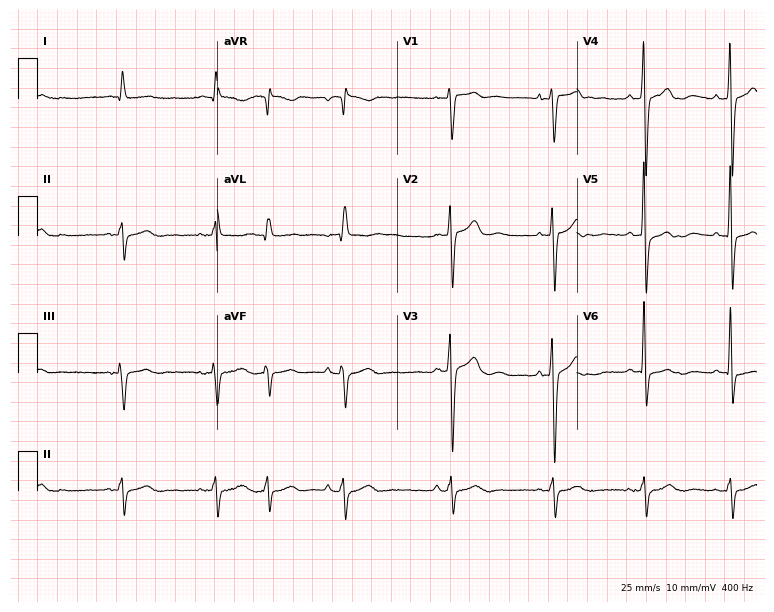
12-lead ECG (7.3-second recording at 400 Hz) from a male, 55 years old. Screened for six findings — first-degree AV block, right bundle branch block, left bundle branch block, sinus bradycardia, atrial fibrillation, sinus tachycardia — none is recorded.